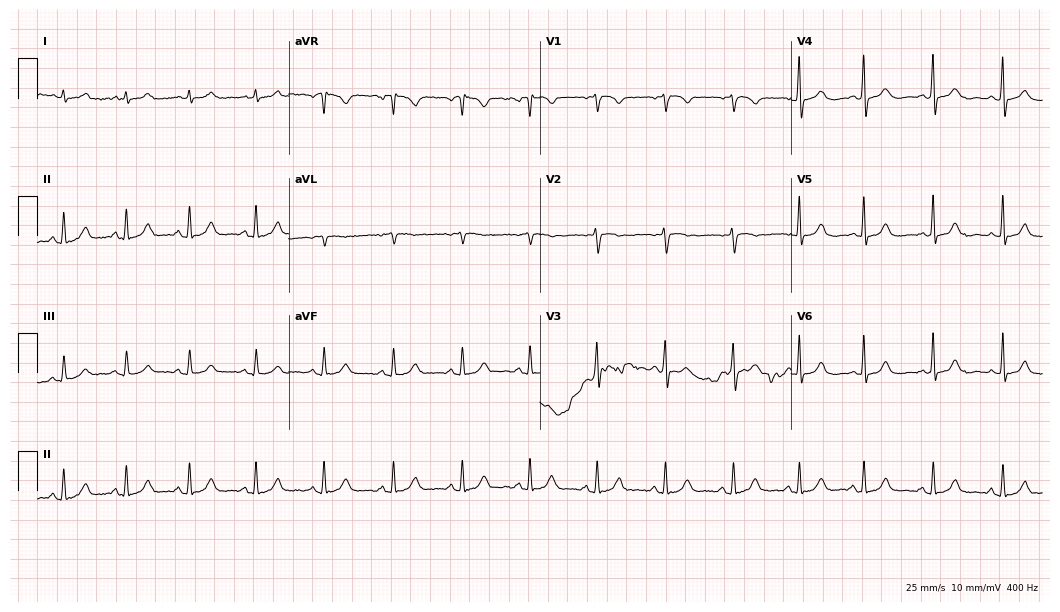
12-lead ECG from a female patient, 80 years old. Labelled as a normal ECG.